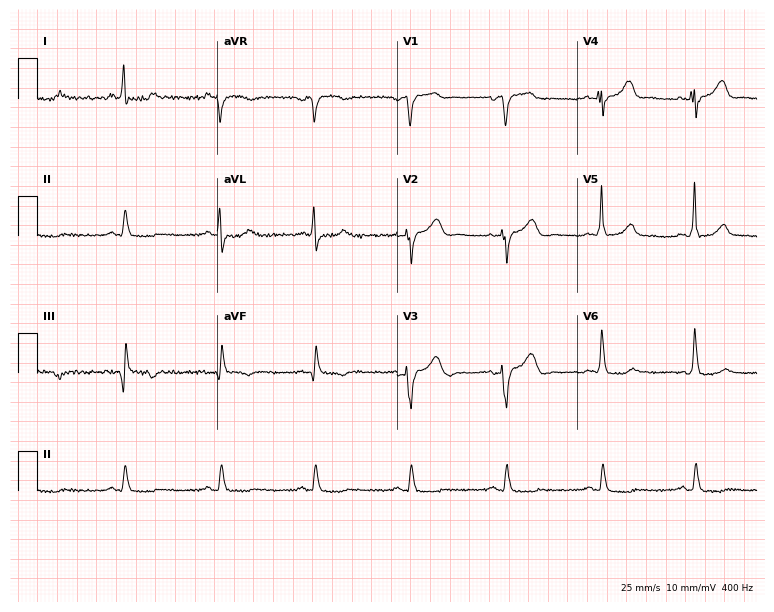
12-lead ECG (7.3-second recording at 400 Hz) from a male, 85 years old. Screened for six findings — first-degree AV block, right bundle branch block, left bundle branch block, sinus bradycardia, atrial fibrillation, sinus tachycardia — none is recorded. Only these six findings were labelled.